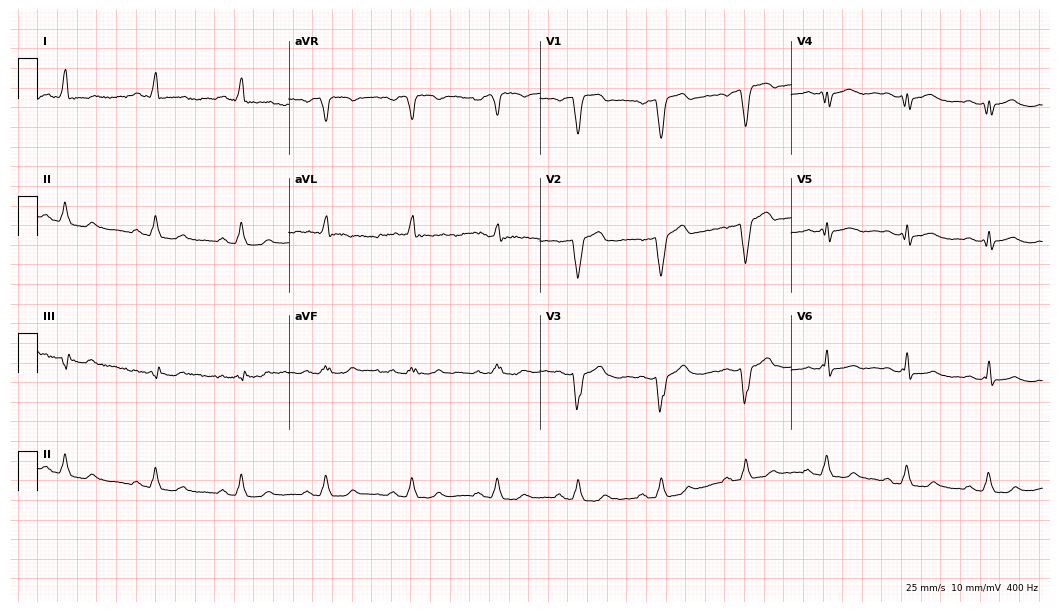
12-lead ECG from a male, 57 years old (10.2-second recording at 400 Hz). No first-degree AV block, right bundle branch block, left bundle branch block, sinus bradycardia, atrial fibrillation or sinus tachycardia recorded for this tracing. Other findings, if any, are not listed.